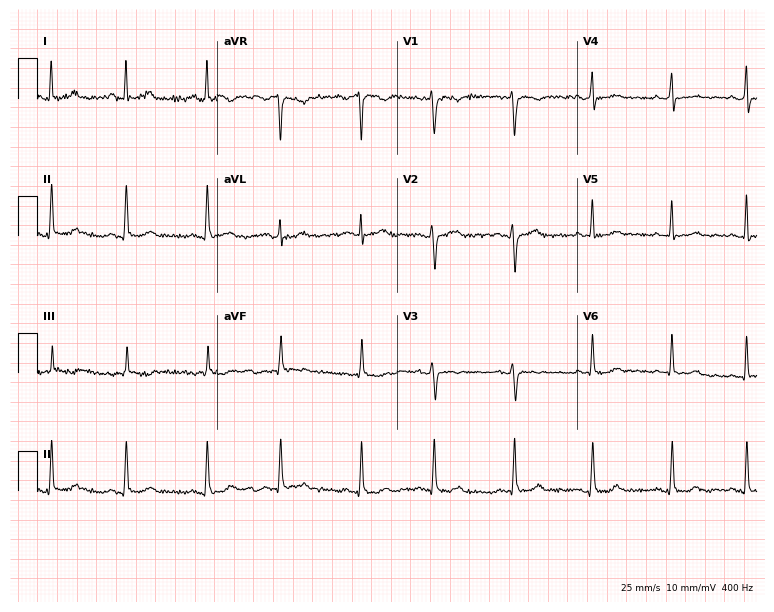
Resting 12-lead electrocardiogram. Patient: a male, 28 years old. None of these six findings is recorded: first-degree AV block, right bundle branch block, left bundle branch block, sinus bradycardia, atrial fibrillation, sinus tachycardia. Only these six findings were labelled.